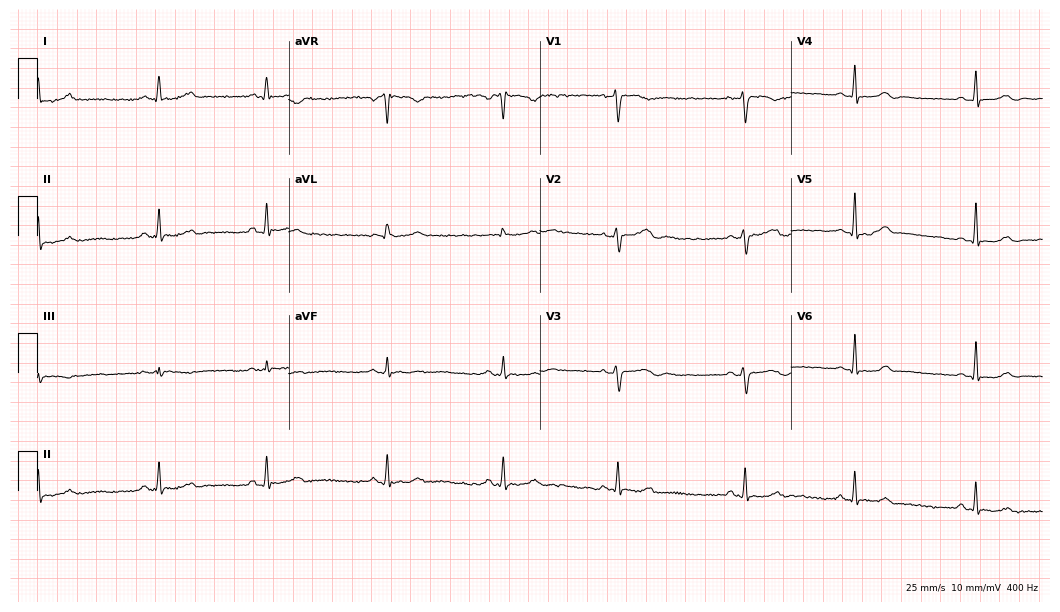
Electrocardiogram, a woman, 47 years old. Overall reading on record: normal ECG.